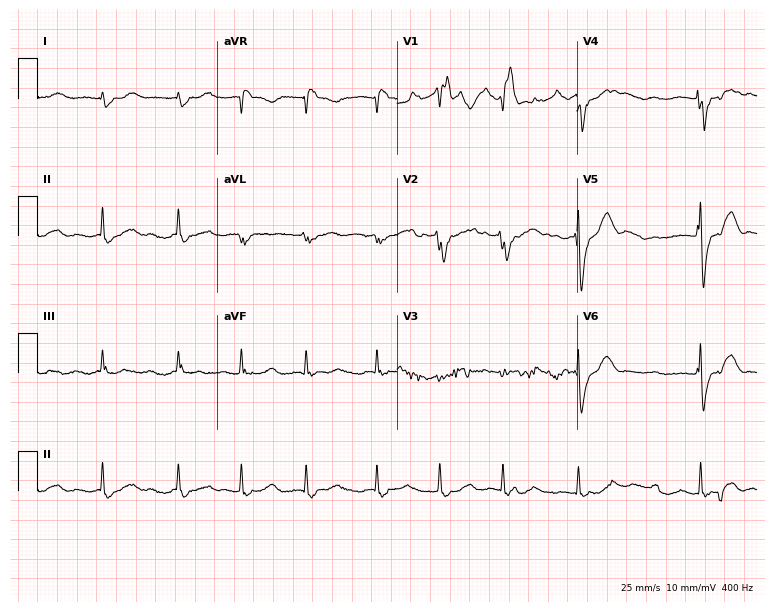
Electrocardiogram, a 77-year-old female patient. Of the six screened findings (first-degree AV block, right bundle branch block (RBBB), left bundle branch block (LBBB), sinus bradycardia, atrial fibrillation (AF), sinus tachycardia), none is recorded. Other findings, if any, are not listed.